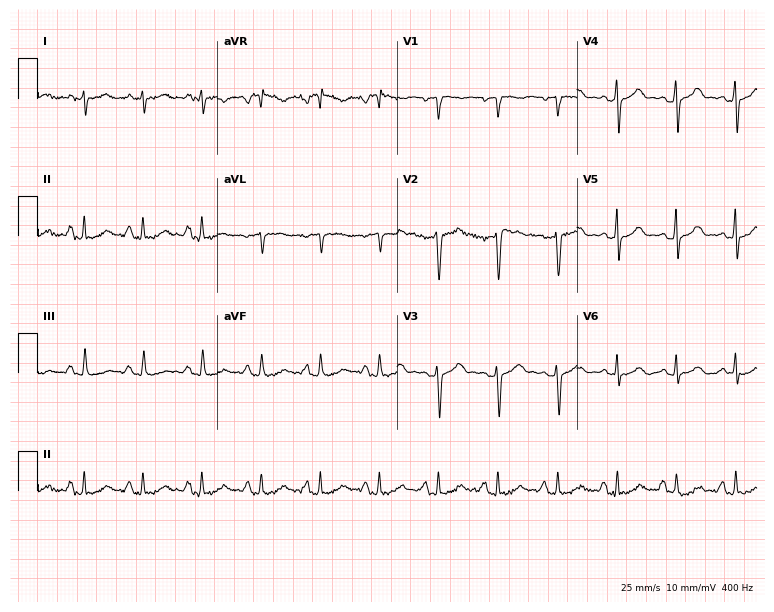
ECG (7.3-second recording at 400 Hz) — a 62-year-old male patient. Screened for six findings — first-degree AV block, right bundle branch block (RBBB), left bundle branch block (LBBB), sinus bradycardia, atrial fibrillation (AF), sinus tachycardia — none is recorded. Other findings, if any, are not listed.